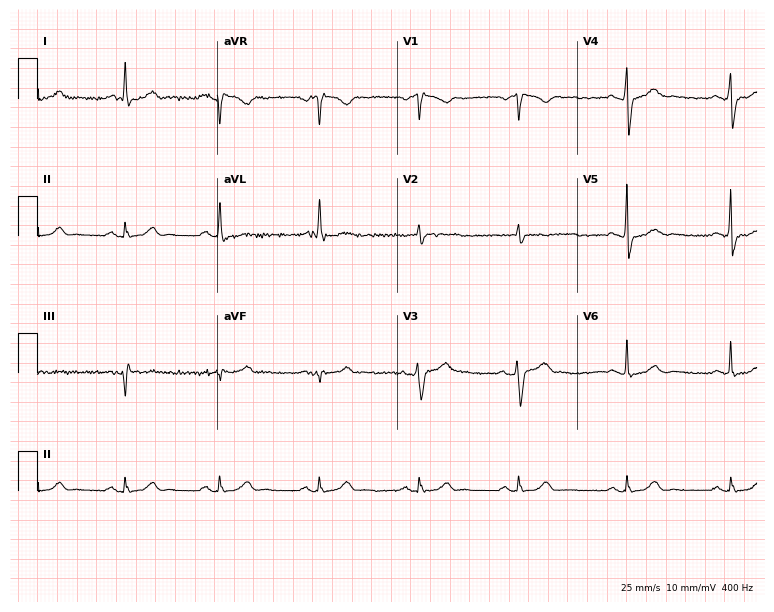
Standard 12-lead ECG recorded from a male patient, 56 years old (7.3-second recording at 400 Hz). None of these six findings is recorded: first-degree AV block, right bundle branch block, left bundle branch block, sinus bradycardia, atrial fibrillation, sinus tachycardia. Other findings, if any, are not listed.